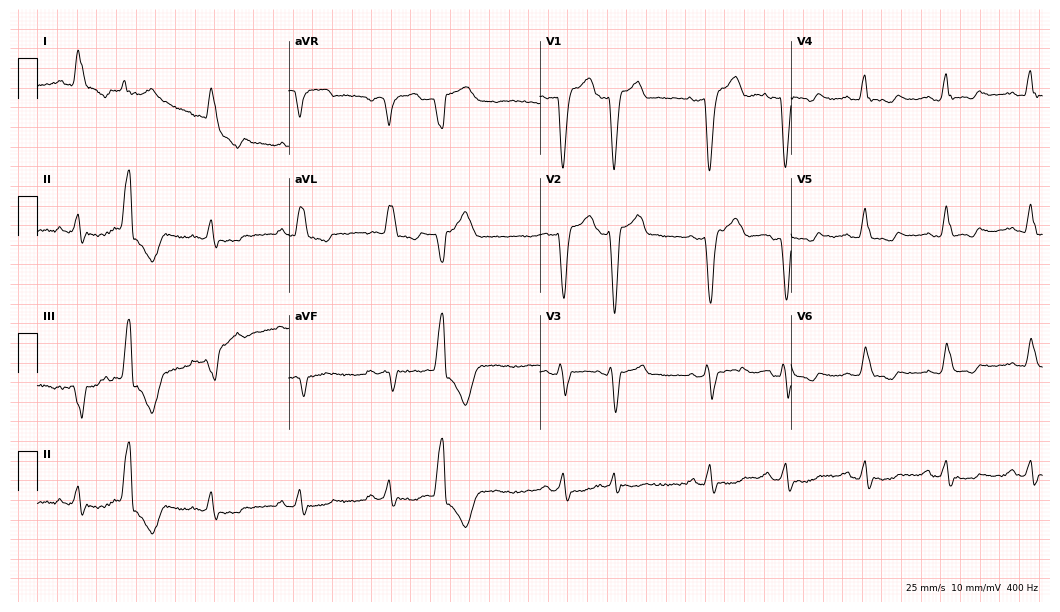
Resting 12-lead electrocardiogram. Patient: a female, 73 years old. The tracing shows left bundle branch block (LBBB).